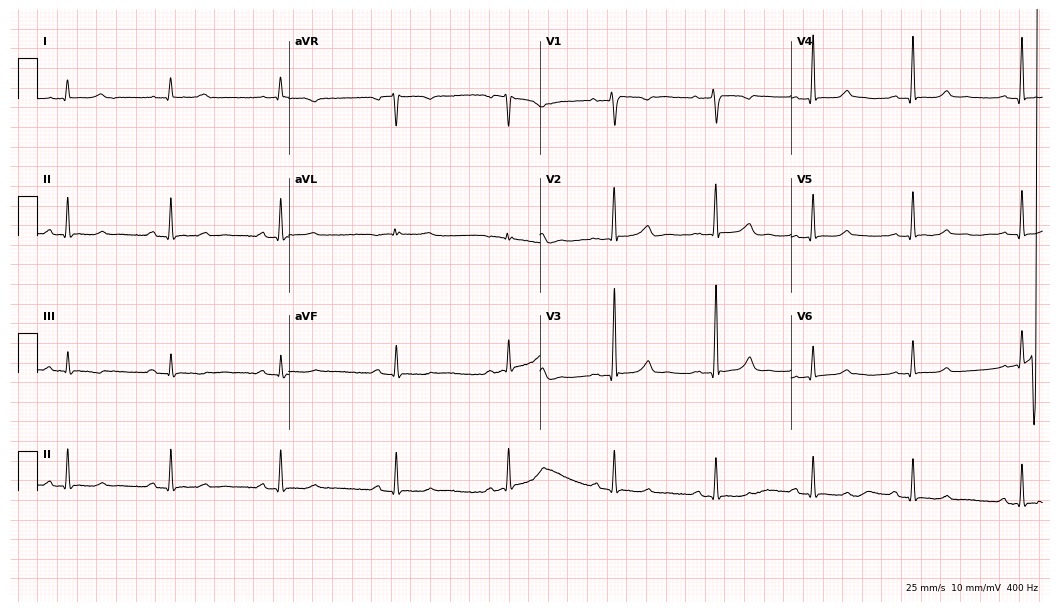
Resting 12-lead electrocardiogram (10.2-second recording at 400 Hz). Patient: a 46-year-old female. Read as a normal ECG.